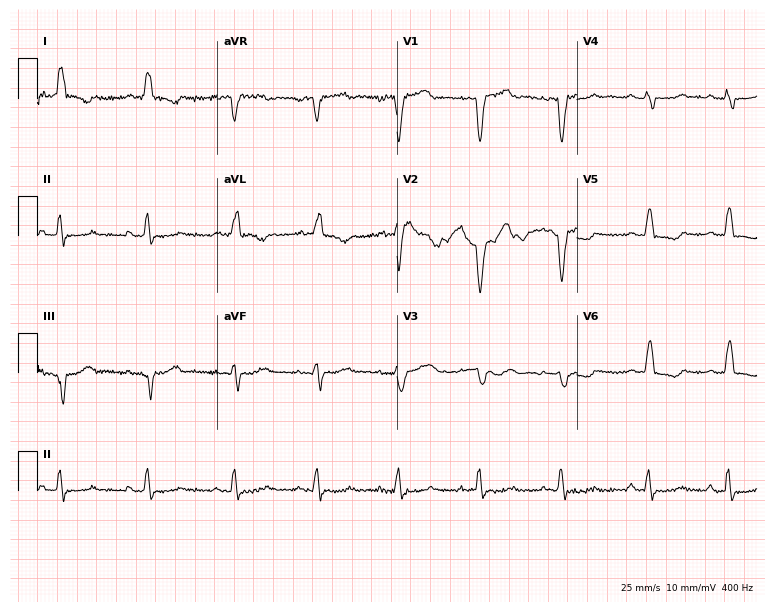
Electrocardiogram, a female patient, 69 years old. Of the six screened findings (first-degree AV block, right bundle branch block, left bundle branch block, sinus bradycardia, atrial fibrillation, sinus tachycardia), none is recorded. Only these six findings were labelled.